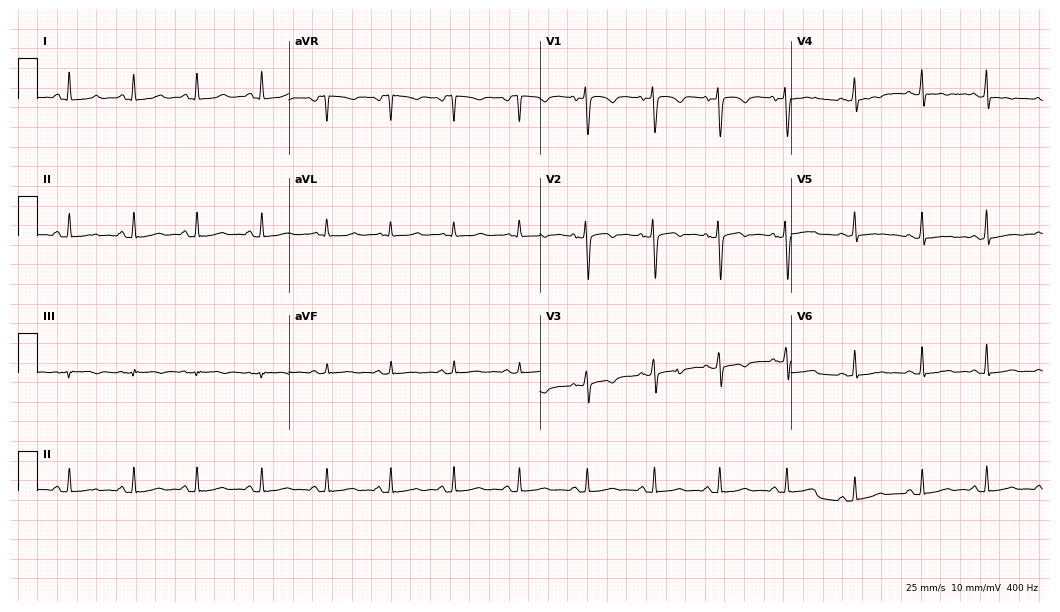
Standard 12-lead ECG recorded from a female patient, 32 years old. None of these six findings is recorded: first-degree AV block, right bundle branch block, left bundle branch block, sinus bradycardia, atrial fibrillation, sinus tachycardia.